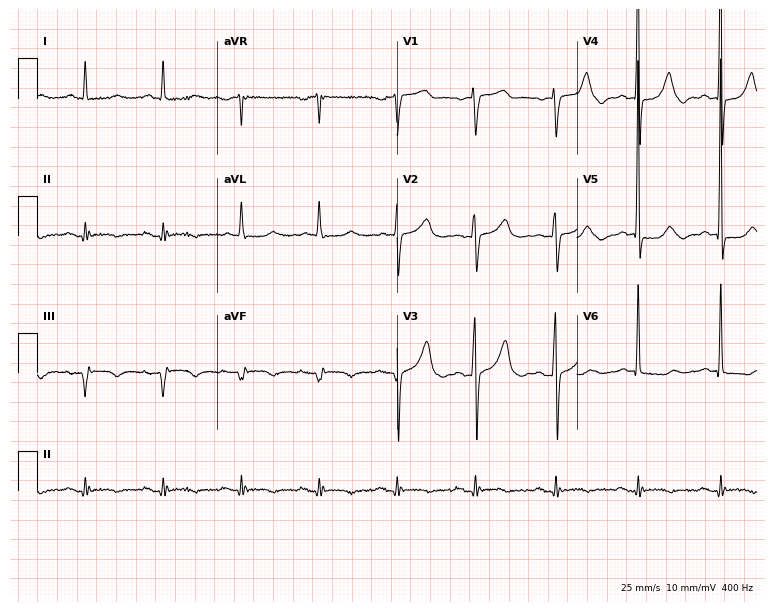
ECG — a male, 77 years old. Screened for six findings — first-degree AV block, right bundle branch block, left bundle branch block, sinus bradycardia, atrial fibrillation, sinus tachycardia — none is recorded. Findings outside these six are not listed.